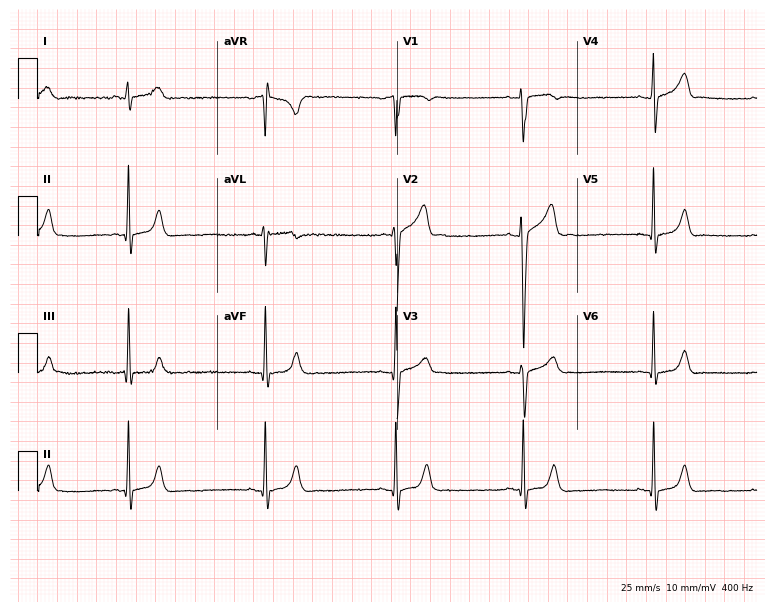
Standard 12-lead ECG recorded from a male patient, 20 years old (7.3-second recording at 400 Hz). The tracing shows sinus bradycardia (a sinus rate of 50 beats per minute or less).